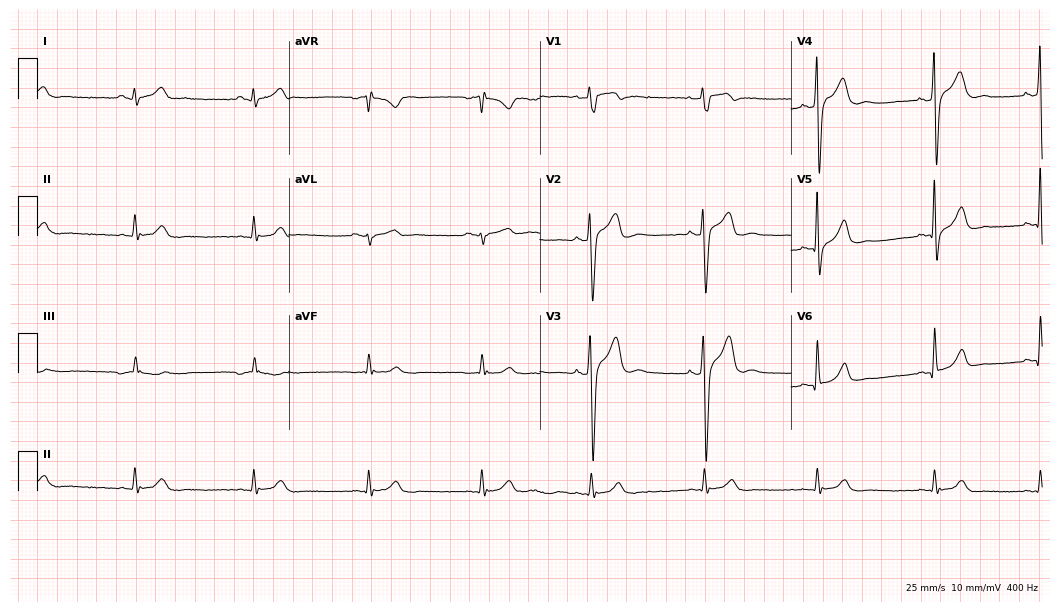
Electrocardiogram (10.2-second recording at 400 Hz), a 48-year-old male patient. Of the six screened findings (first-degree AV block, right bundle branch block, left bundle branch block, sinus bradycardia, atrial fibrillation, sinus tachycardia), none is recorded. Findings outside these six are not listed.